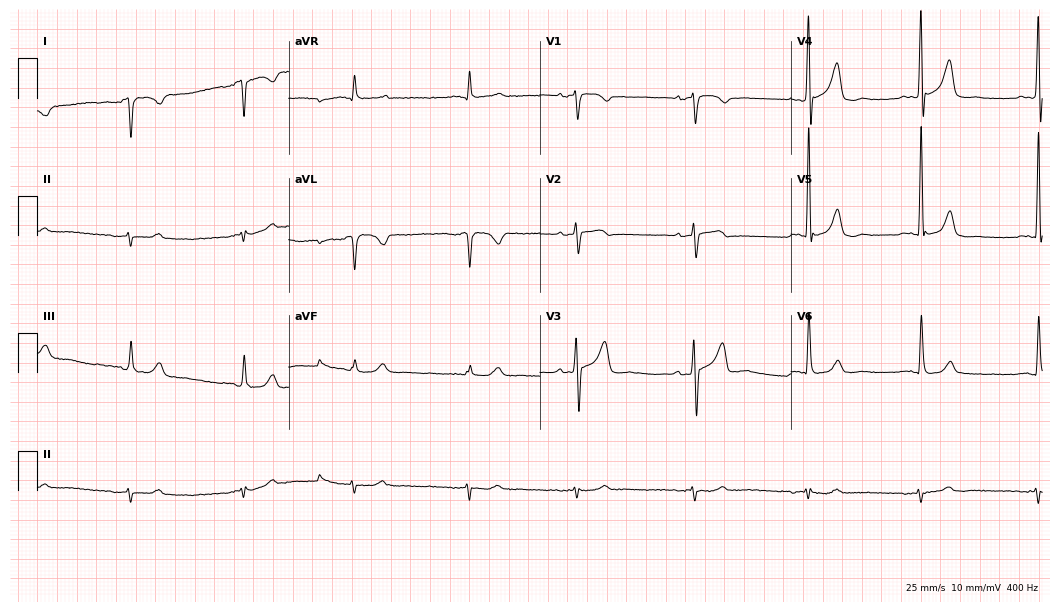
ECG — a man, 75 years old. Screened for six findings — first-degree AV block, right bundle branch block (RBBB), left bundle branch block (LBBB), sinus bradycardia, atrial fibrillation (AF), sinus tachycardia — none is recorded. Other findings, if any, are not listed.